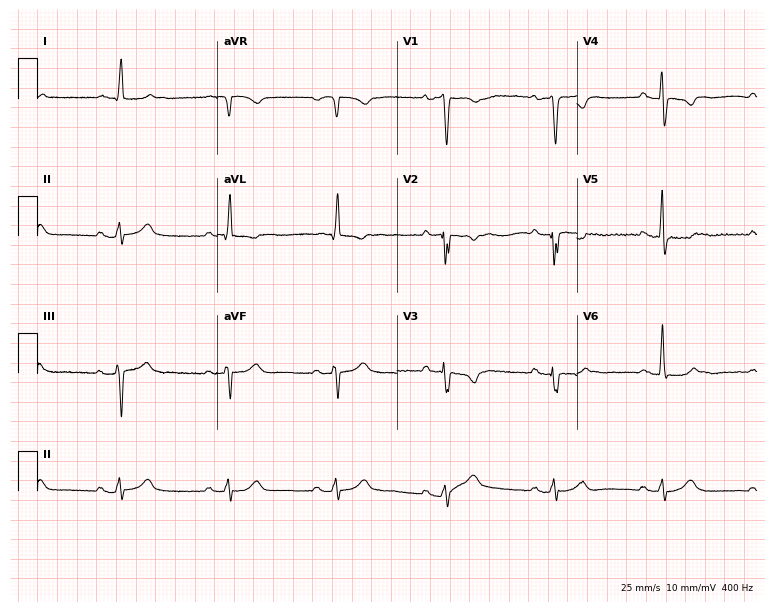
12-lead ECG from a male patient, 84 years old. No first-degree AV block, right bundle branch block (RBBB), left bundle branch block (LBBB), sinus bradycardia, atrial fibrillation (AF) or sinus tachycardia recorded for this tracing.